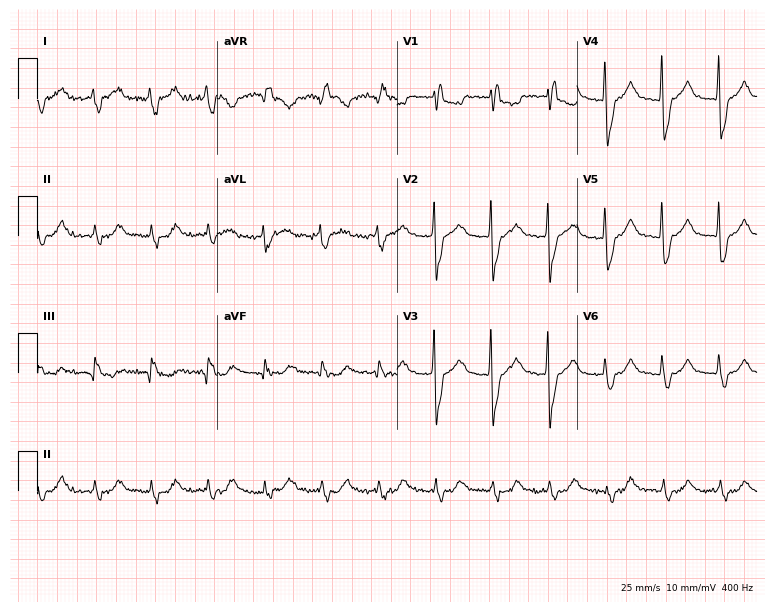
Resting 12-lead electrocardiogram. Patient: a male, 81 years old. The tracing shows right bundle branch block.